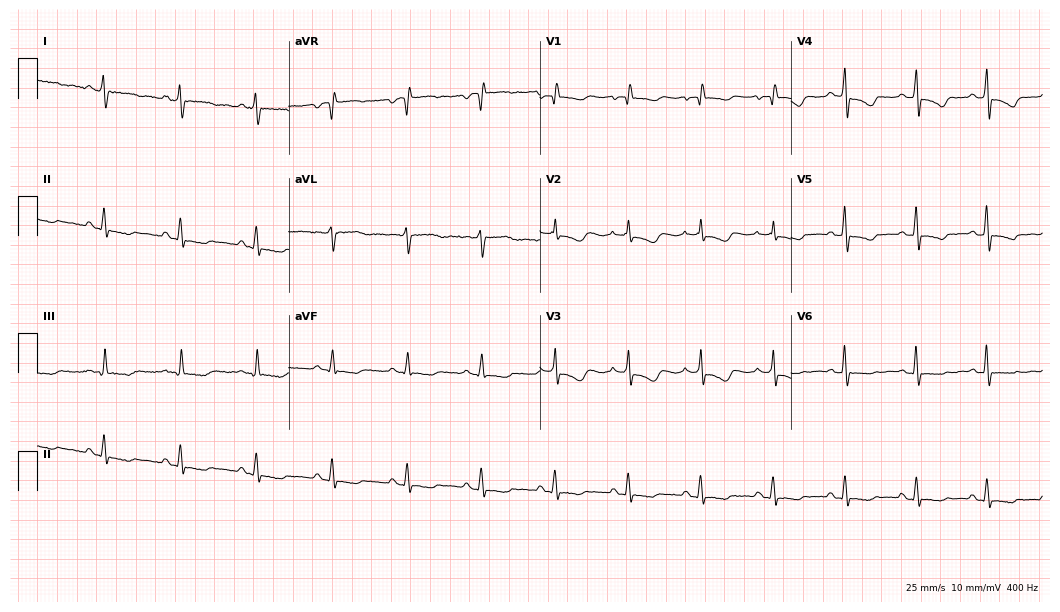
Electrocardiogram (10.2-second recording at 400 Hz), a 40-year-old female. Of the six screened findings (first-degree AV block, right bundle branch block, left bundle branch block, sinus bradycardia, atrial fibrillation, sinus tachycardia), none is recorded. Only these six findings were labelled.